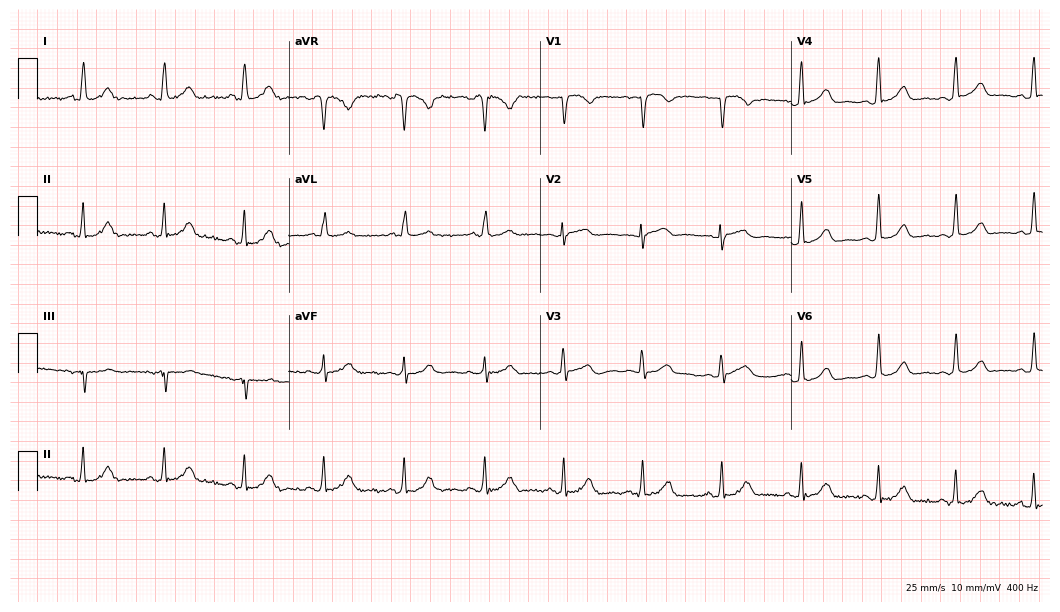
Electrocardiogram (10.2-second recording at 400 Hz), a 34-year-old woman. Overall reading on record: normal ECG.